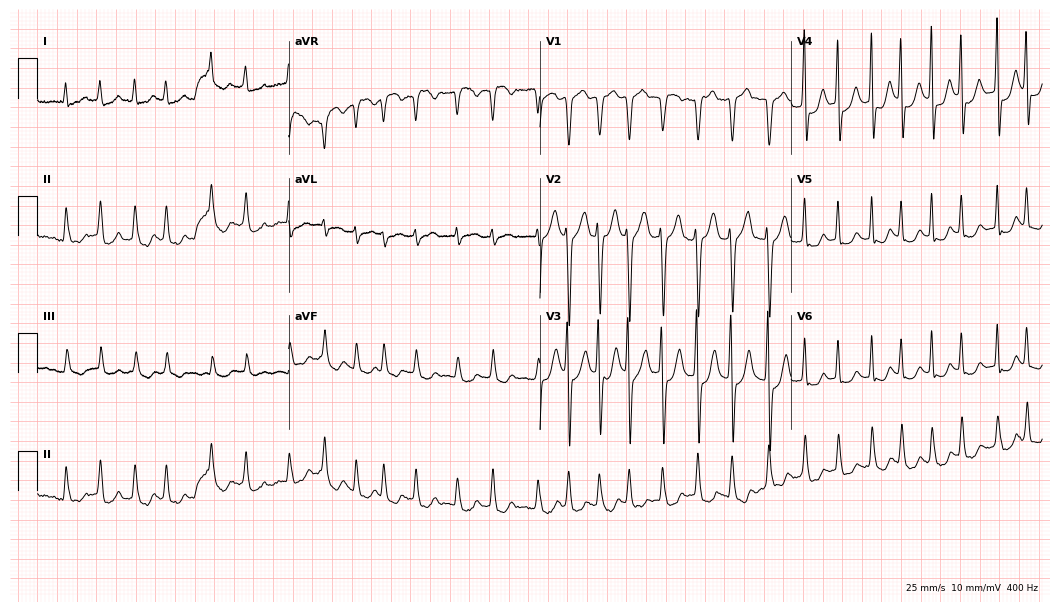
Standard 12-lead ECG recorded from a male patient, 80 years old (10.2-second recording at 400 Hz). The tracing shows atrial fibrillation.